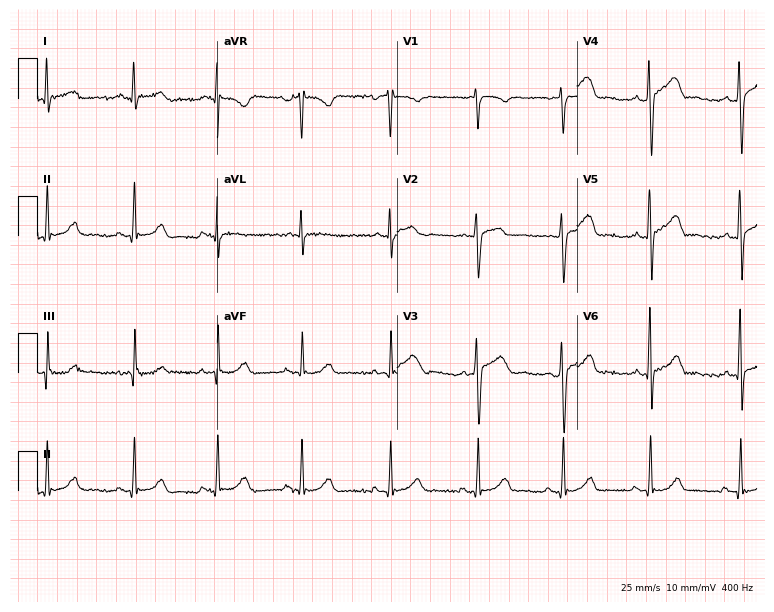
12-lead ECG from a female, 38 years old. No first-degree AV block, right bundle branch block, left bundle branch block, sinus bradycardia, atrial fibrillation or sinus tachycardia recorded for this tracing.